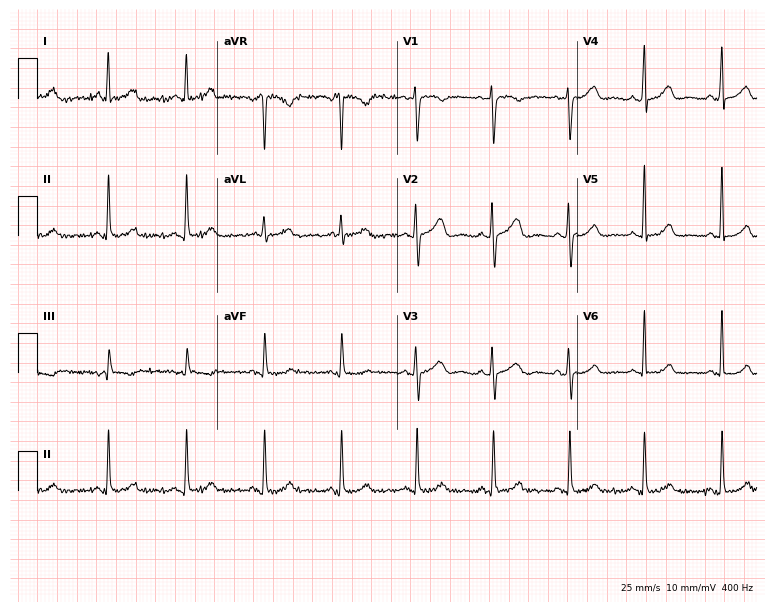
Standard 12-lead ECG recorded from a 44-year-old female (7.3-second recording at 400 Hz). Read as a normal ECG.